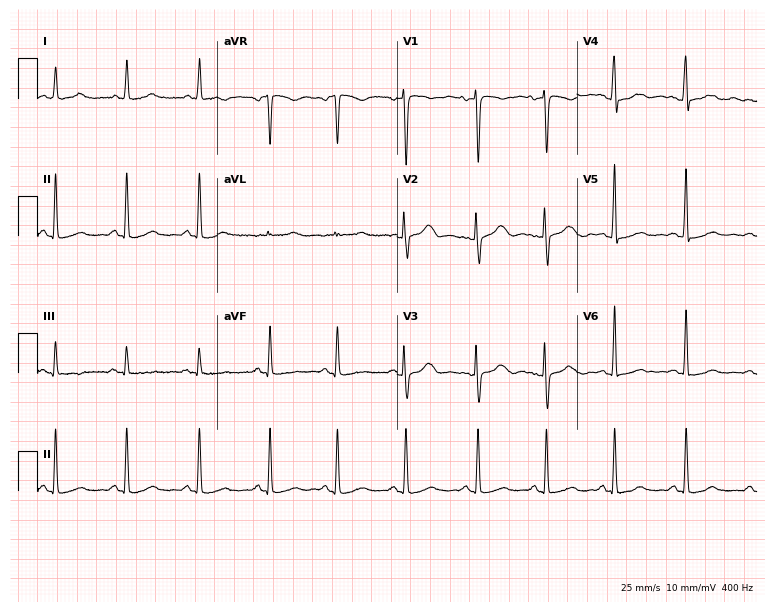
Electrocardiogram, a female patient, 49 years old. Of the six screened findings (first-degree AV block, right bundle branch block (RBBB), left bundle branch block (LBBB), sinus bradycardia, atrial fibrillation (AF), sinus tachycardia), none is recorded. Findings outside these six are not listed.